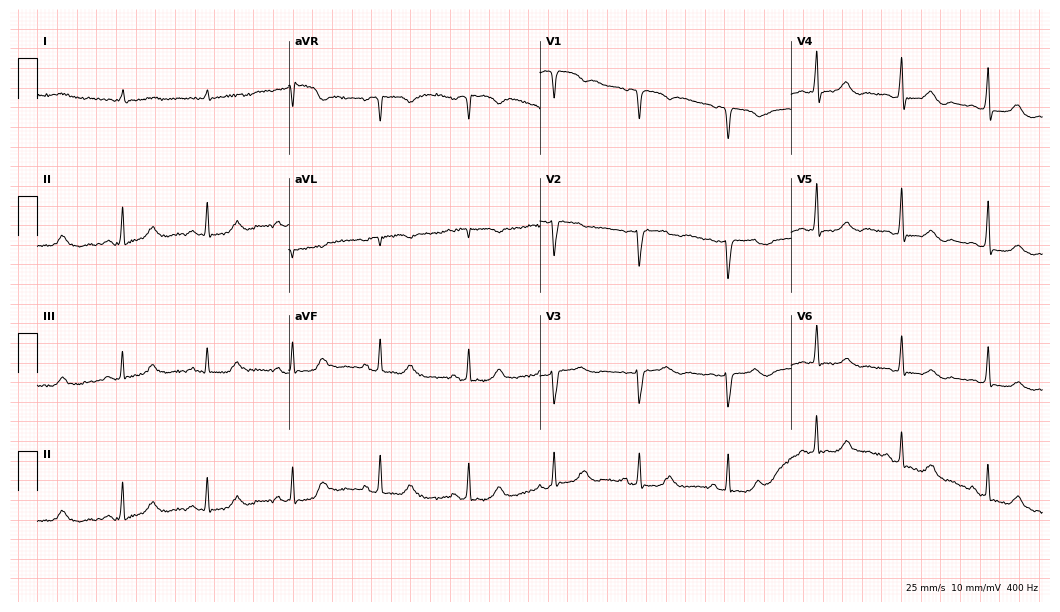
12-lead ECG from a female, 86 years old (10.2-second recording at 400 Hz). No first-degree AV block, right bundle branch block, left bundle branch block, sinus bradycardia, atrial fibrillation or sinus tachycardia recorded for this tracing.